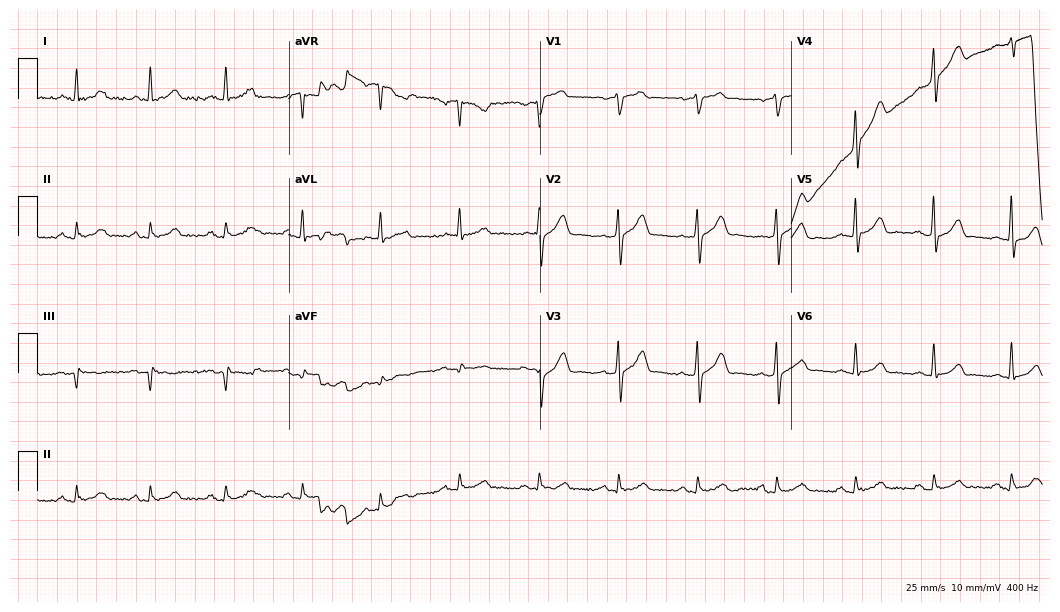
Standard 12-lead ECG recorded from a male, 52 years old. Read as a normal ECG.